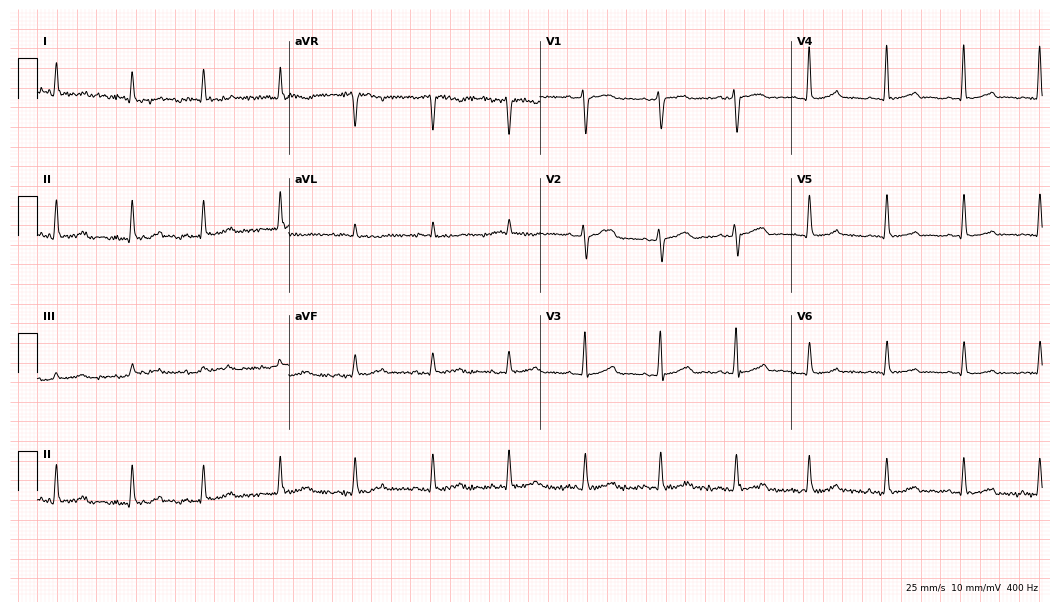
Resting 12-lead electrocardiogram. Patient: a woman, 69 years old. Read as a normal ECG.